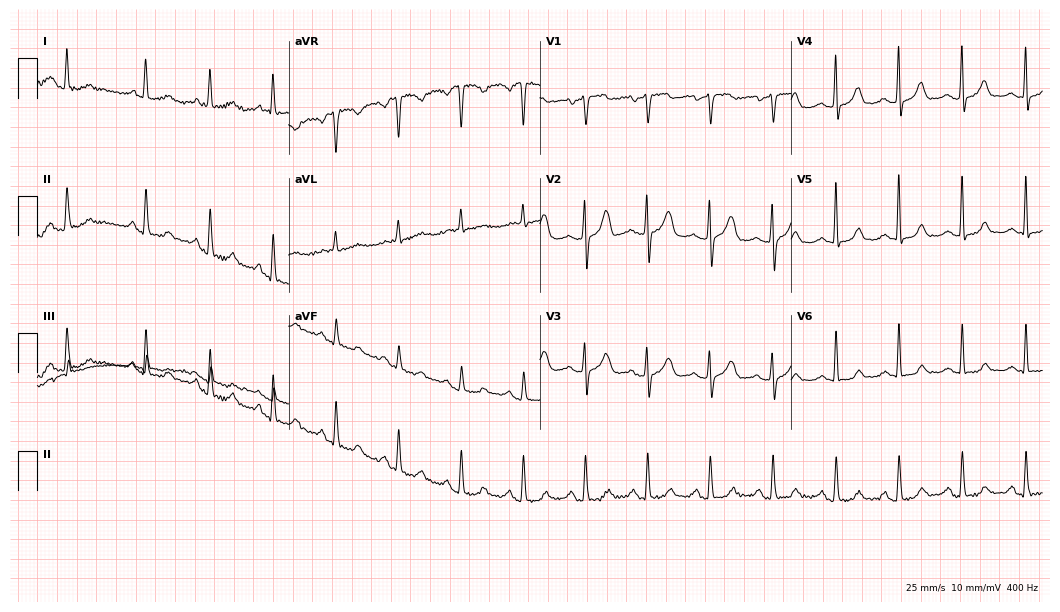
Electrocardiogram, a 74-year-old woman. Of the six screened findings (first-degree AV block, right bundle branch block, left bundle branch block, sinus bradycardia, atrial fibrillation, sinus tachycardia), none is recorded. Findings outside these six are not listed.